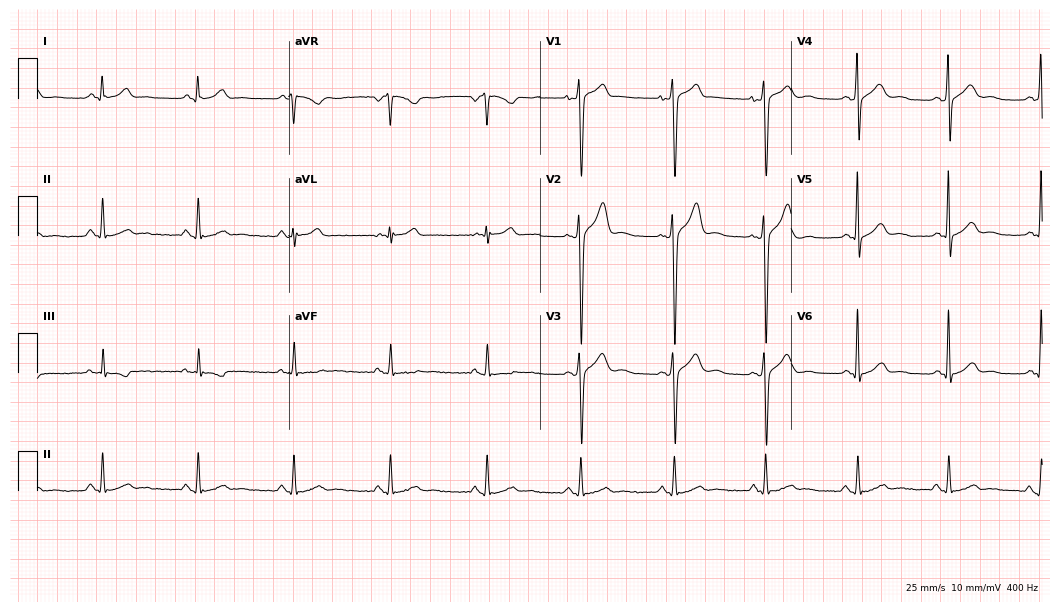
Electrocardiogram (10.2-second recording at 400 Hz), a man, 25 years old. Overall reading on record: normal ECG.